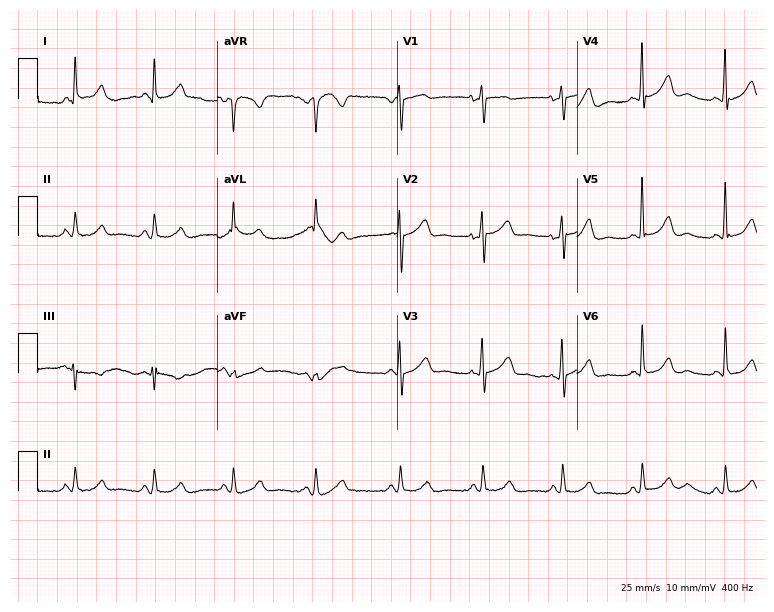
Standard 12-lead ECG recorded from a female patient, 59 years old (7.3-second recording at 400 Hz). None of these six findings is recorded: first-degree AV block, right bundle branch block (RBBB), left bundle branch block (LBBB), sinus bradycardia, atrial fibrillation (AF), sinus tachycardia.